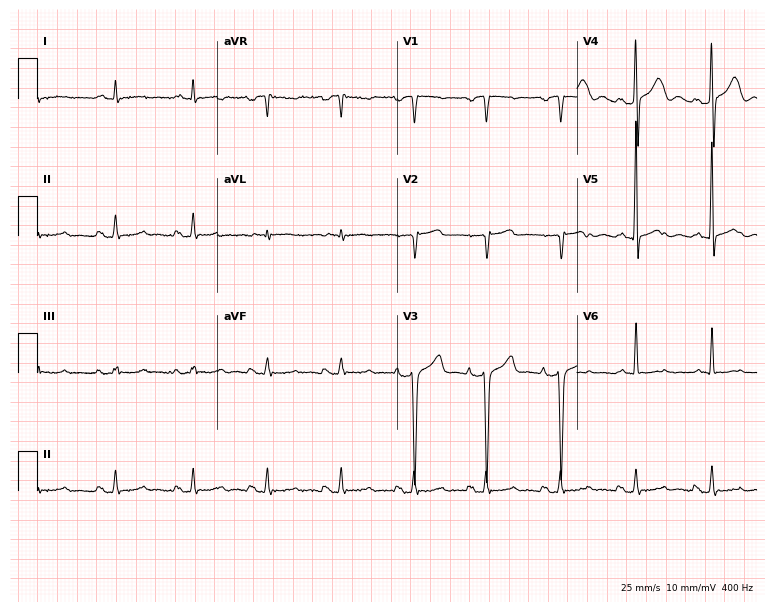
12-lead ECG (7.3-second recording at 400 Hz) from a male, 59 years old. Labelled as a normal ECG.